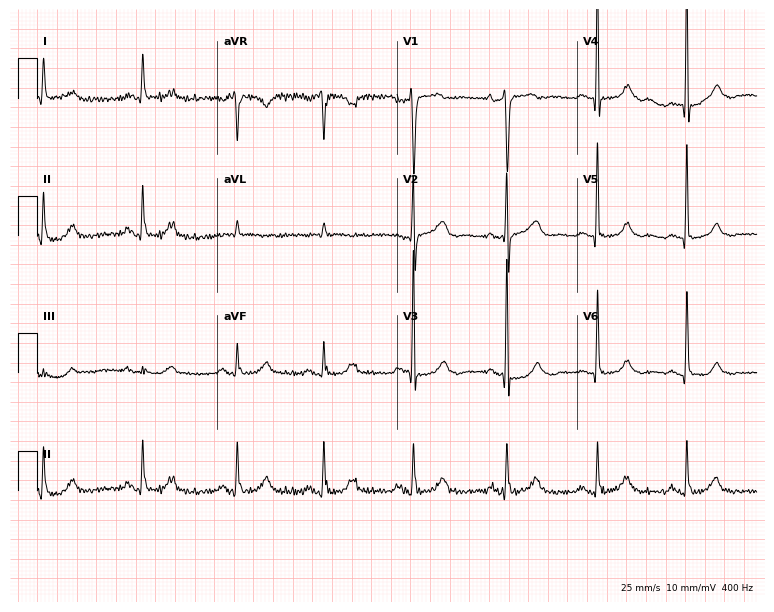
Electrocardiogram, a 76-year-old female. Of the six screened findings (first-degree AV block, right bundle branch block, left bundle branch block, sinus bradycardia, atrial fibrillation, sinus tachycardia), none is recorded. Findings outside these six are not listed.